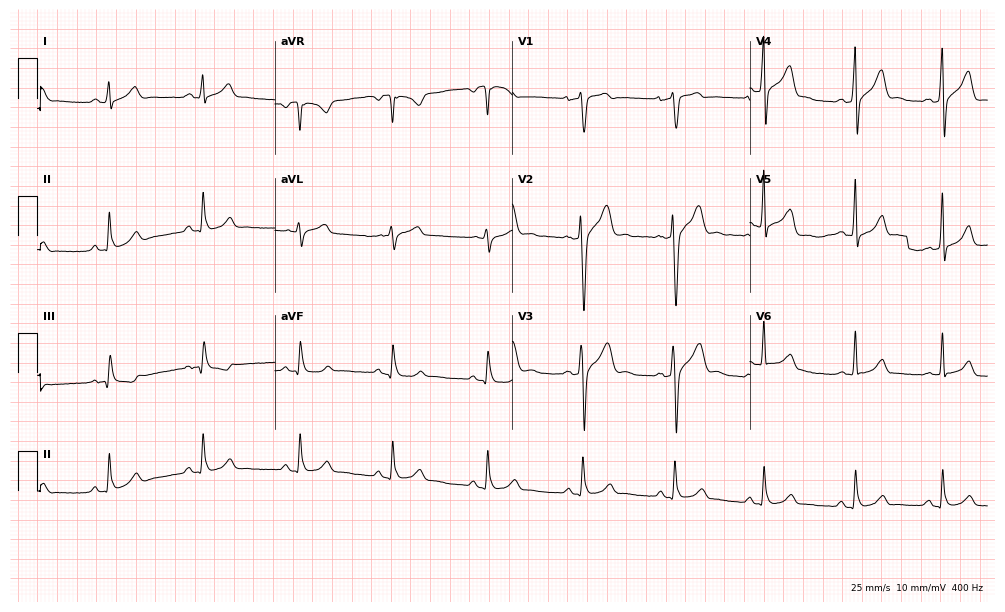
12-lead ECG from a man, 40 years old. Screened for six findings — first-degree AV block, right bundle branch block, left bundle branch block, sinus bradycardia, atrial fibrillation, sinus tachycardia — none is recorded.